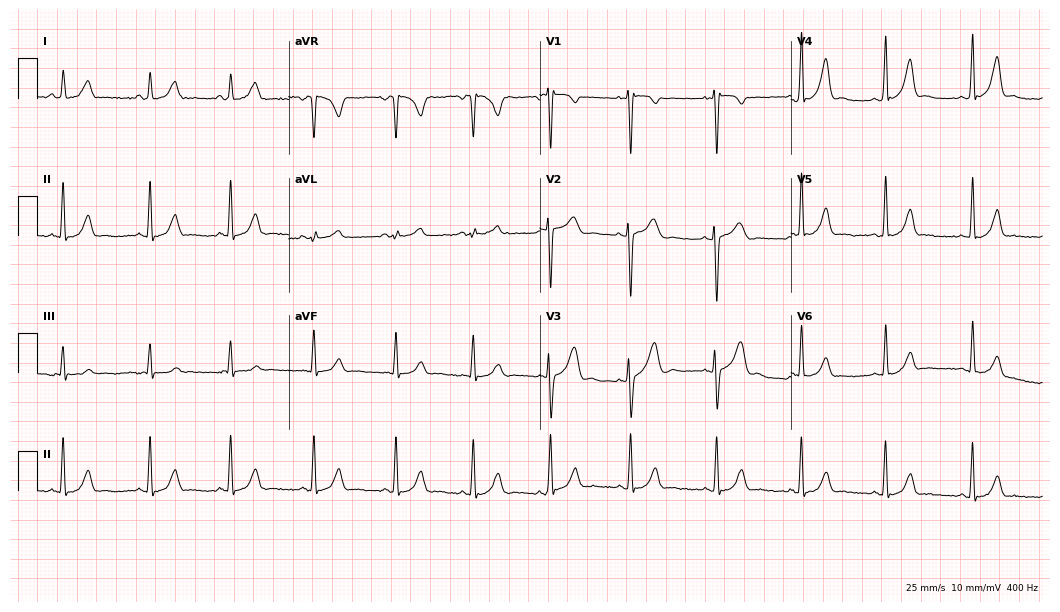
Resting 12-lead electrocardiogram. Patient: a 32-year-old female. None of these six findings is recorded: first-degree AV block, right bundle branch block (RBBB), left bundle branch block (LBBB), sinus bradycardia, atrial fibrillation (AF), sinus tachycardia.